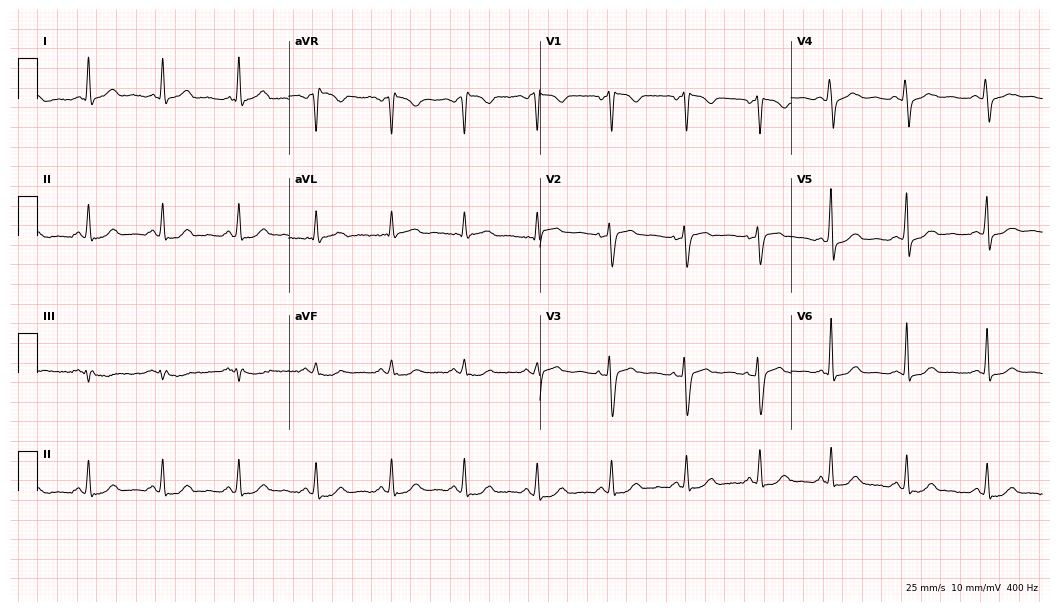
12-lead ECG (10.2-second recording at 400 Hz) from a 52-year-old woman. Screened for six findings — first-degree AV block, right bundle branch block, left bundle branch block, sinus bradycardia, atrial fibrillation, sinus tachycardia — none is recorded. Only these six findings were labelled.